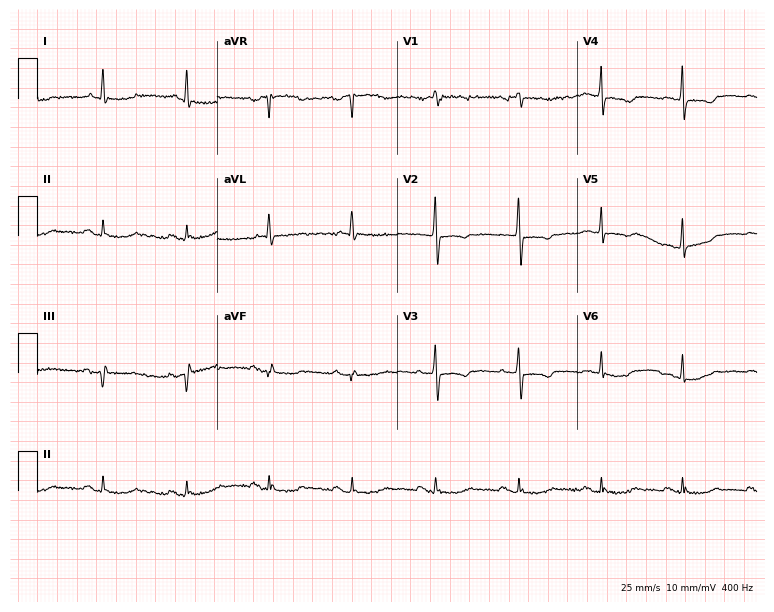
ECG — a female patient, 67 years old. Screened for six findings — first-degree AV block, right bundle branch block, left bundle branch block, sinus bradycardia, atrial fibrillation, sinus tachycardia — none is recorded. Findings outside these six are not listed.